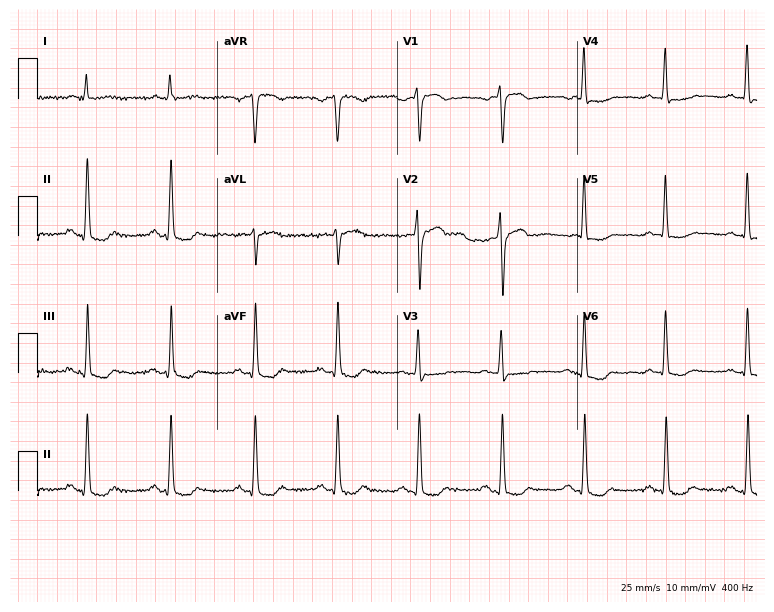
12-lead ECG from a 56-year-old female patient. Screened for six findings — first-degree AV block, right bundle branch block, left bundle branch block, sinus bradycardia, atrial fibrillation, sinus tachycardia — none is recorded. Only these six findings were labelled.